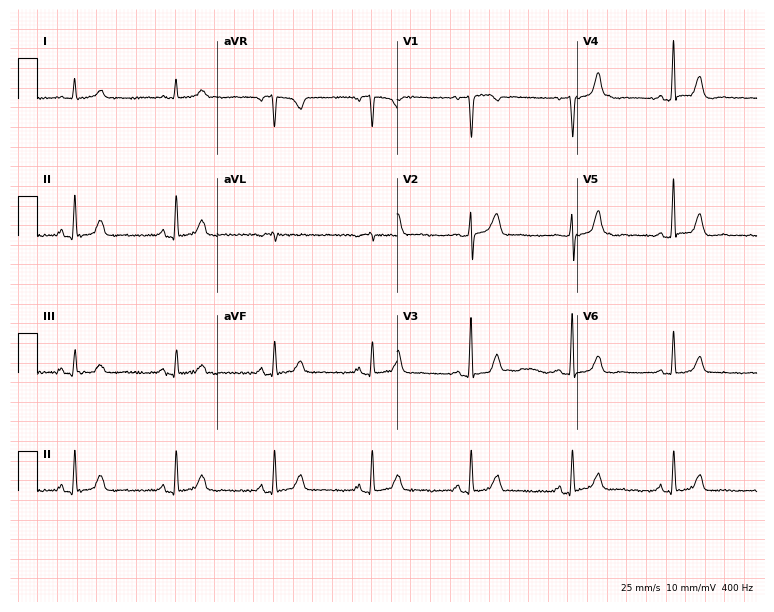
ECG — a 51-year-old woman. Screened for six findings — first-degree AV block, right bundle branch block (RBBB), left bundle branch block (LBBB), sinus bradycardia, atrial fibrillation (AF), sinus tachycardia — none is recorded. Only these six findings were labelled.